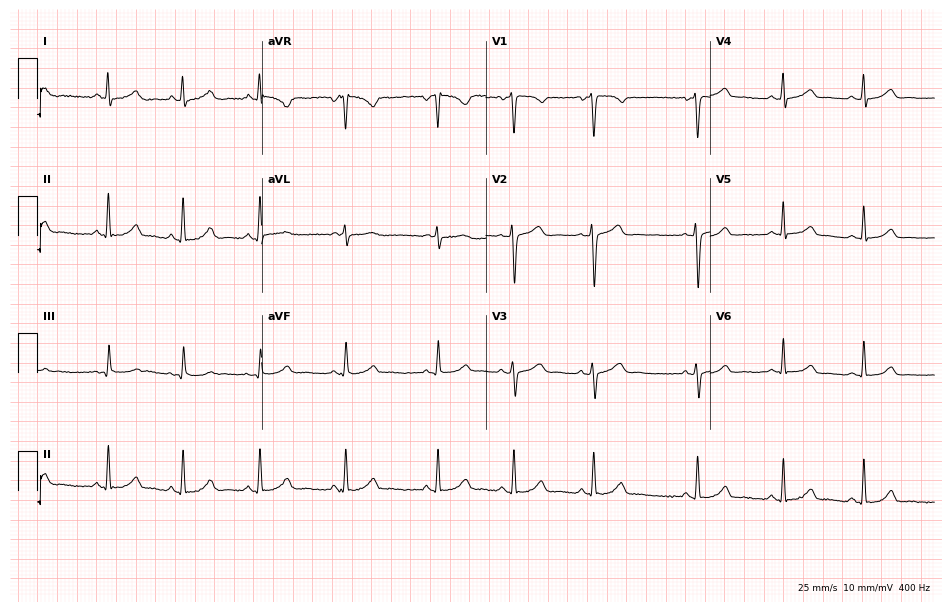
Standard 12-lead ECG recorded from a female patient, 27 years old (9.1-second recording at 400 Hz). Read as a normal ECG.